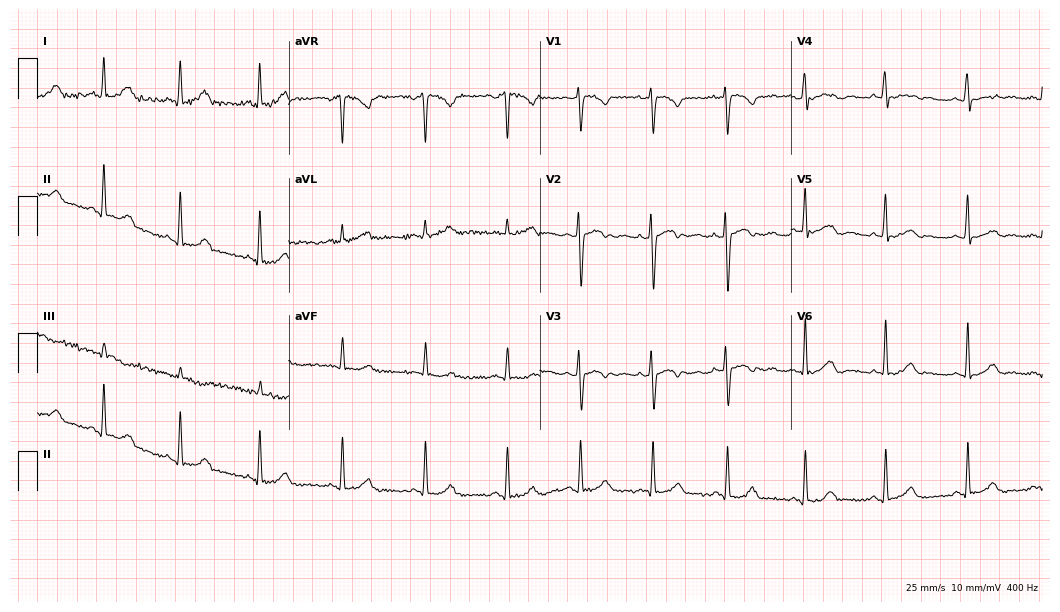
12-lead ECG from a woman, 25 years old. Recorded interpretation: within normal limits.